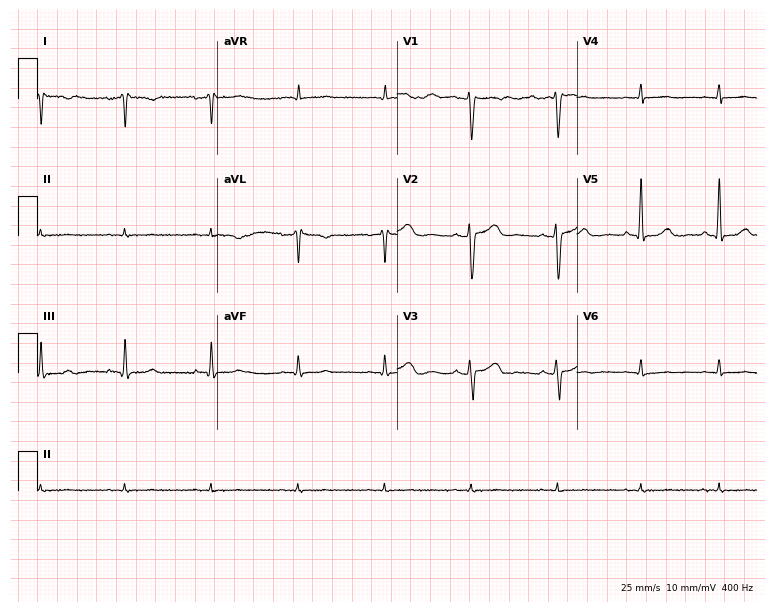
Resting 12-lead electrocardiogram (7.3-second recording at 400 Hz). Patient: a female, 52 years old. None of these six findings is recorded: first-degree AV block, right bundle branch block, left bundle branch block, sinus bradycardia, atrial fibrillation, sinus tachycardia.